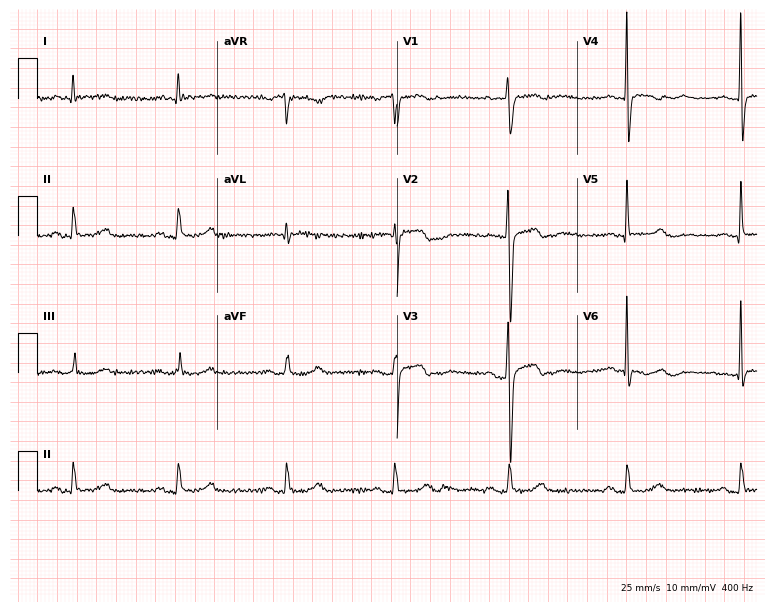
Standard 12-lead ECG recorded from a 45-year-old male. None of these six findings is recorded: first-degree AV block, right bundle branch block, left bundle branch block, sinus bradycardia, atrial fibrillation, sinus tachycardia. Only these six findings were labelled.